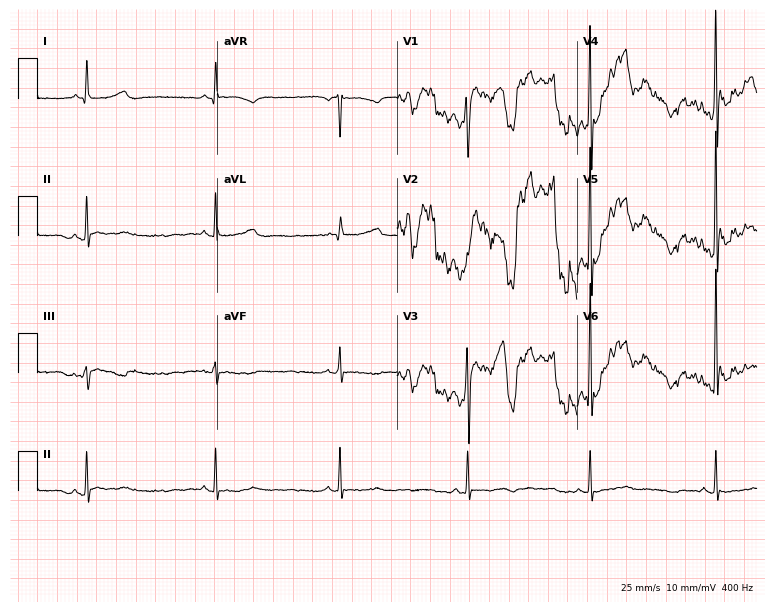
12-lead ECG (7.3-second recording at 400 Hz) from a 41-year-old male. Screened for six findings — first-degree AV block, right bundle branch block (RBBB), left bundle branch block (LBBB), sinus bradycardia, atrial fibrillation (AF), sinus tachycardia — none is recorded.